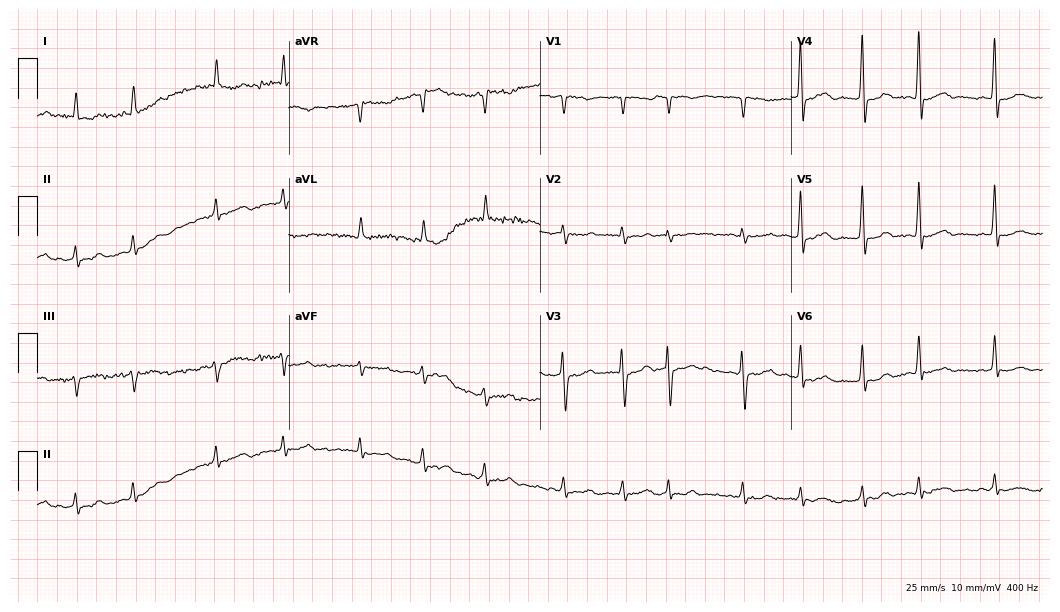
Electrocardiogram (10.2-second recording at 400 Hz), a 67-year-old female patient. Interpretation includes atrial fibrillation.